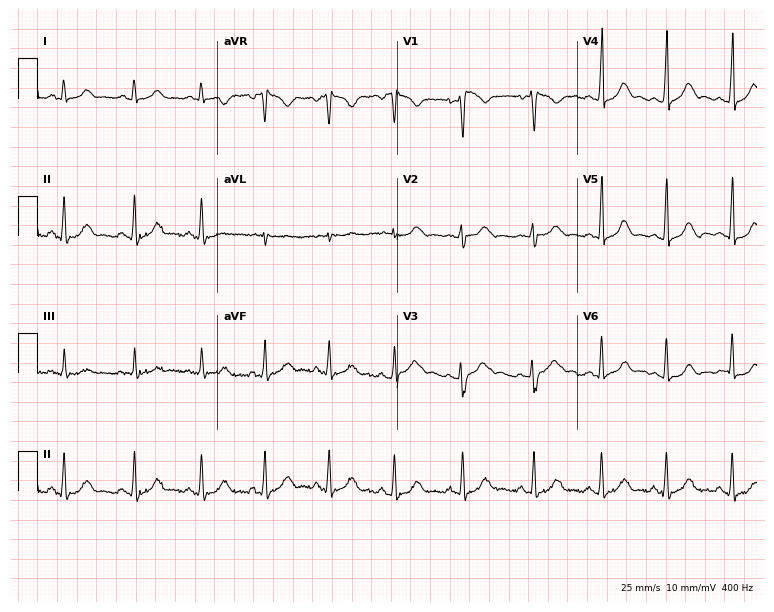
12-lead ECG from an 18-year-old female. No first-degree AV block, right bundle branch block, left bundle branch block, sinus bradycardia, atrial fibrillation or sinus tachycardia recorded for this tracing.